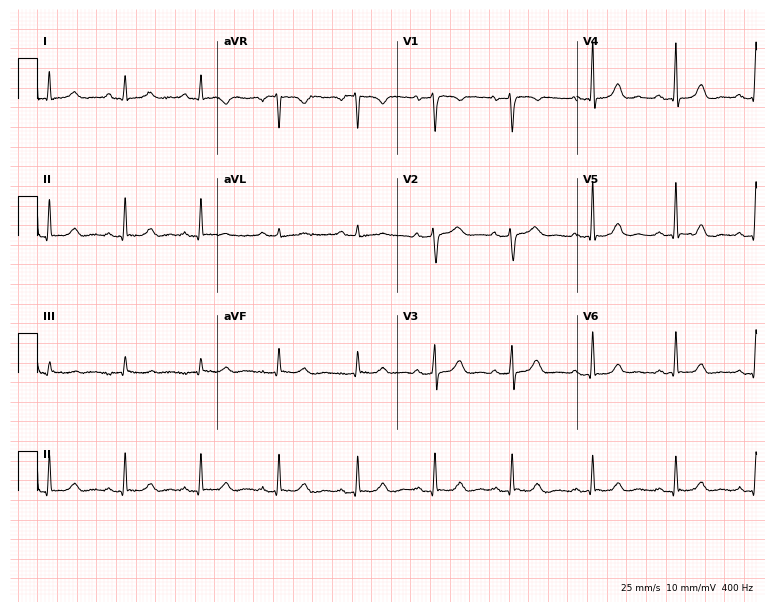
Resting 12-lead electrocardiogram. Patient: a woman, 57 years old. Read as a normal ECG.